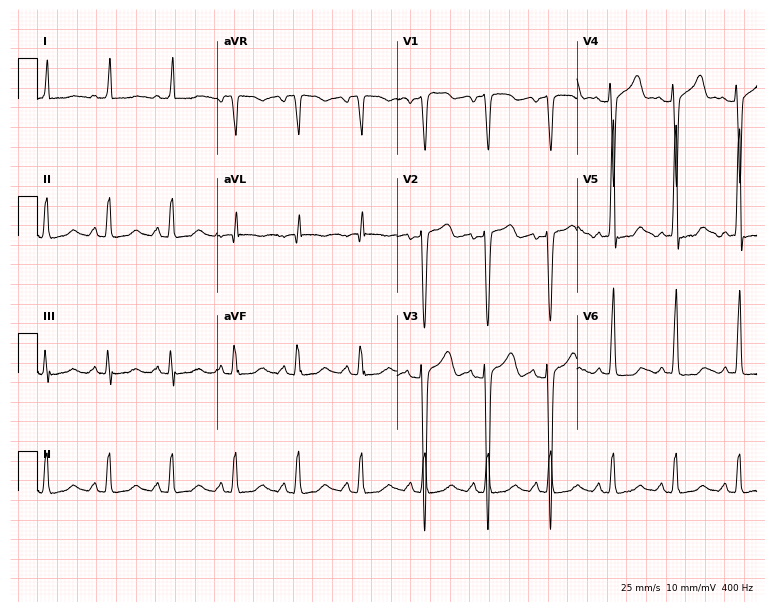
12-lead ECG from a 60-year-old male. Screened for six findings — first-degree AV block, right bundle branch block, left bundle branch block, sinus bradycardia, atrial fibrillation, sinus tachycardia — none is recorded. Findings outside these six are not listed.